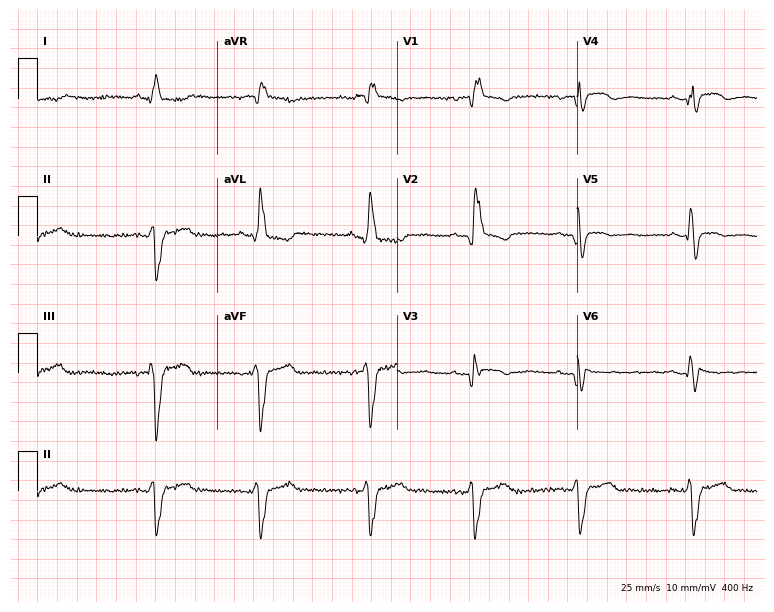
ECG — a female patient, 62 years old. Findings include right bundle branch block (RBBB).